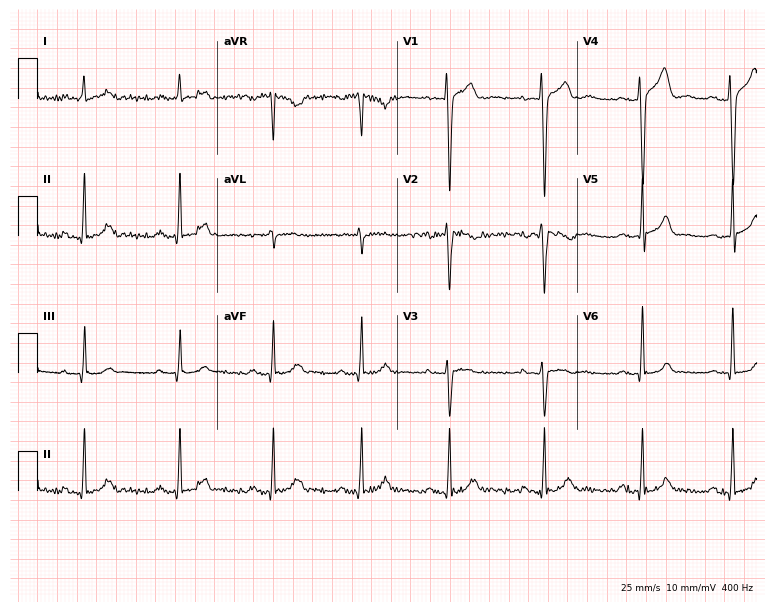
12-lead ECG (7.3-second recording at 400 Hz) from a male patient, 28 years old. Labelled as a normal ECG.